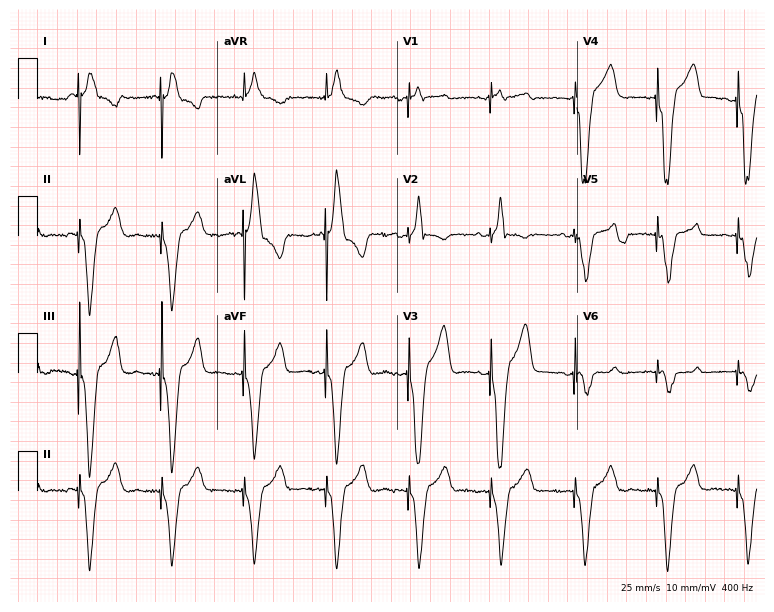
Electrocardiogram, a male patient, 82 years old. Of the six screened findings (first-degree AV block, right bundle branch block, left bundle branch block, sinus bradycardia, atrial fibrillation, sinus tachycardia), none is recorded. Only these six findings were labelled.